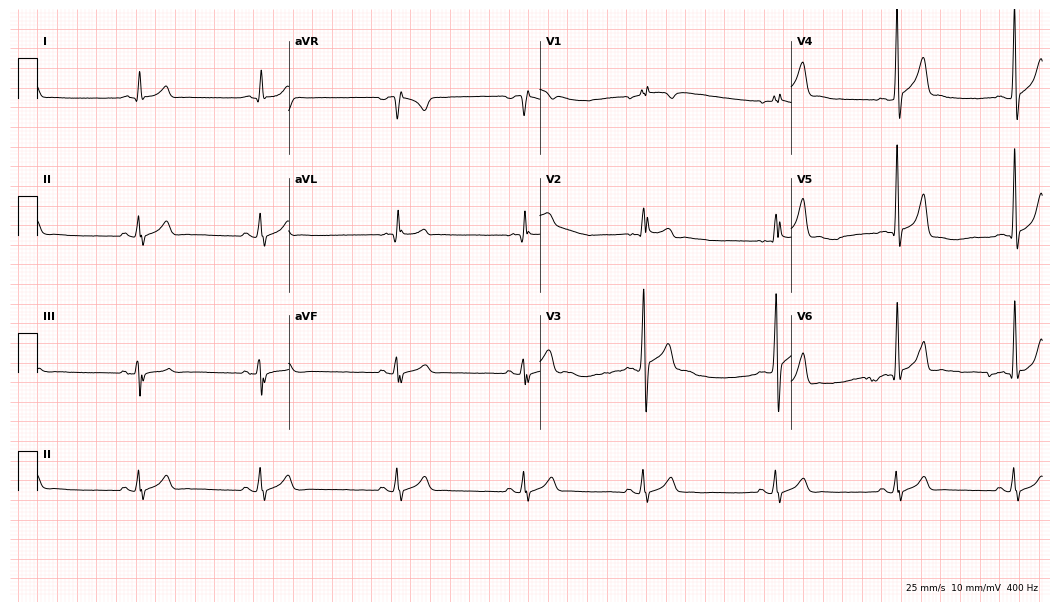
ECG (10.2-second recording at 400 Hz) — a male patient, 28 years old. Findings include sinus bradycardia (a sinus rate of 50 beats per minute or less).